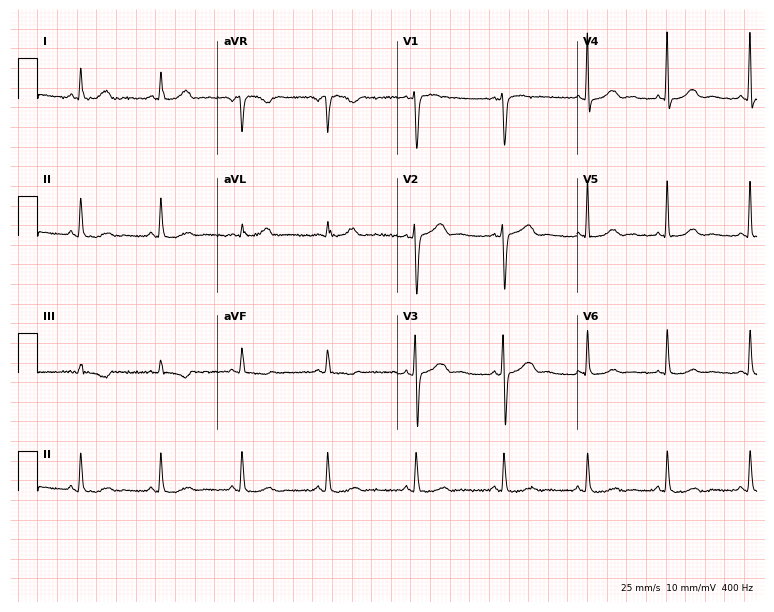
Standard 12-lead ECG recorded from a 29-year-old female (7.3-second recording at 400 Hz). Read as a normal ECG.